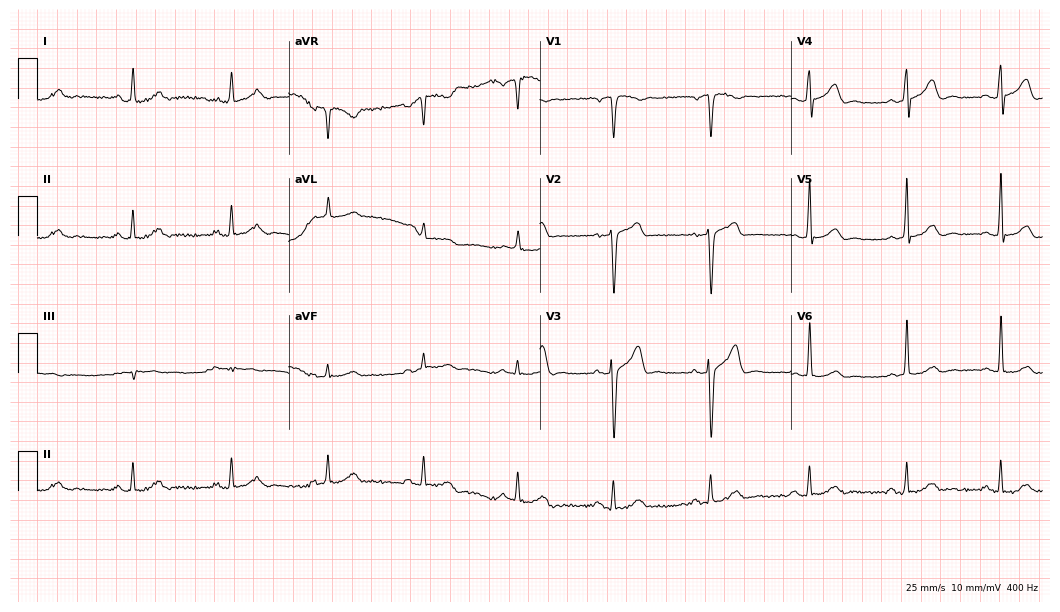
12-lead ECG from a male, 57 years old (10.2-second recording at 400 Hz). Recorded interpretation: within normal limits.